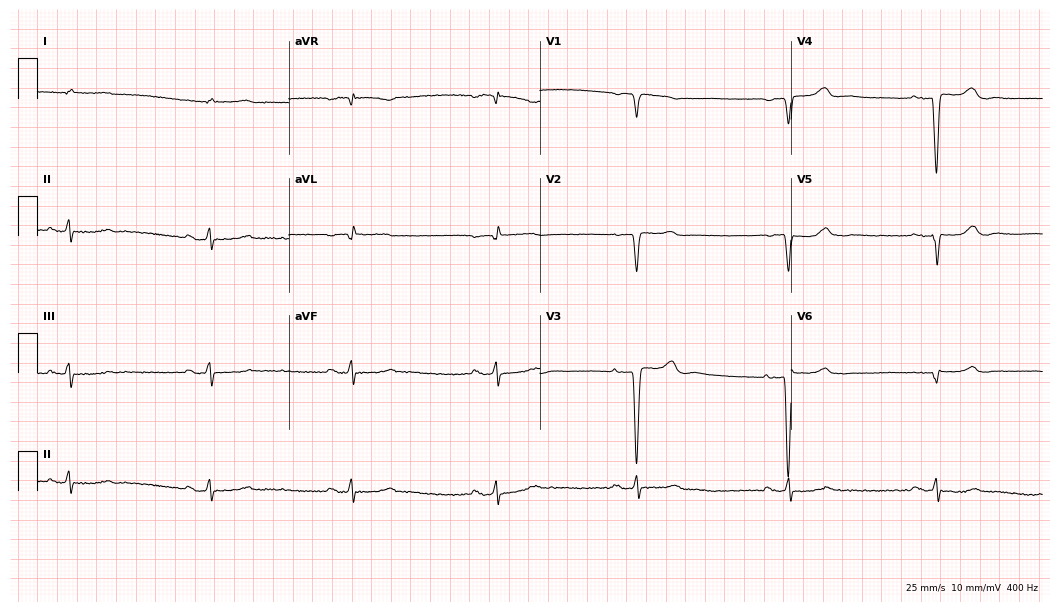
12-lead ECG from a 69-year-old man. Shows first-degree AV block, sinus bradycardia (a sinus rate of 50 beats per minute or less).